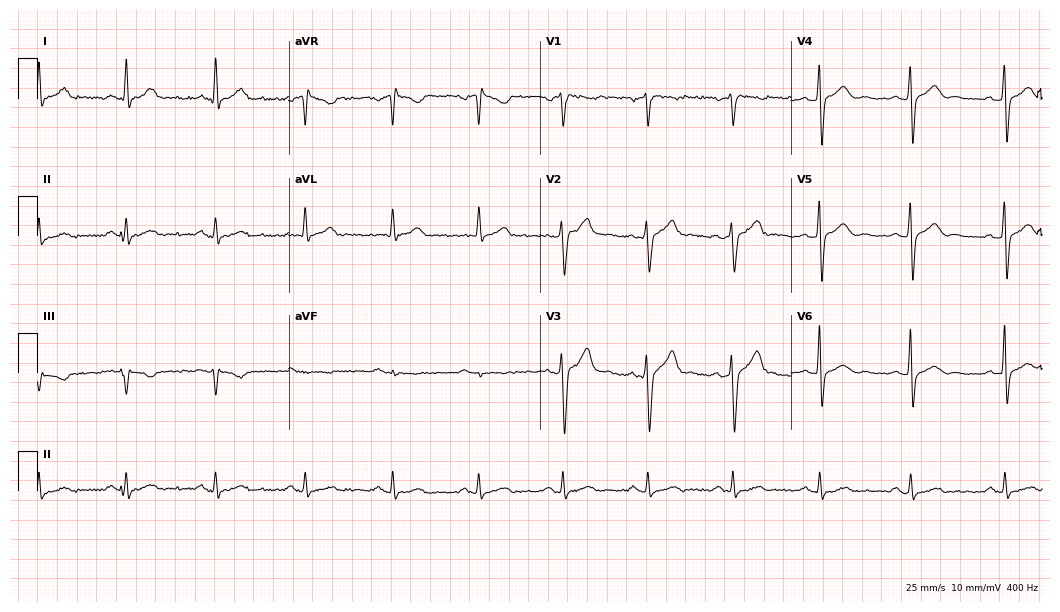
ECG (10.2-second recording at 400 Hz) — a 42-year-old male. Labelled as a normal ECG.